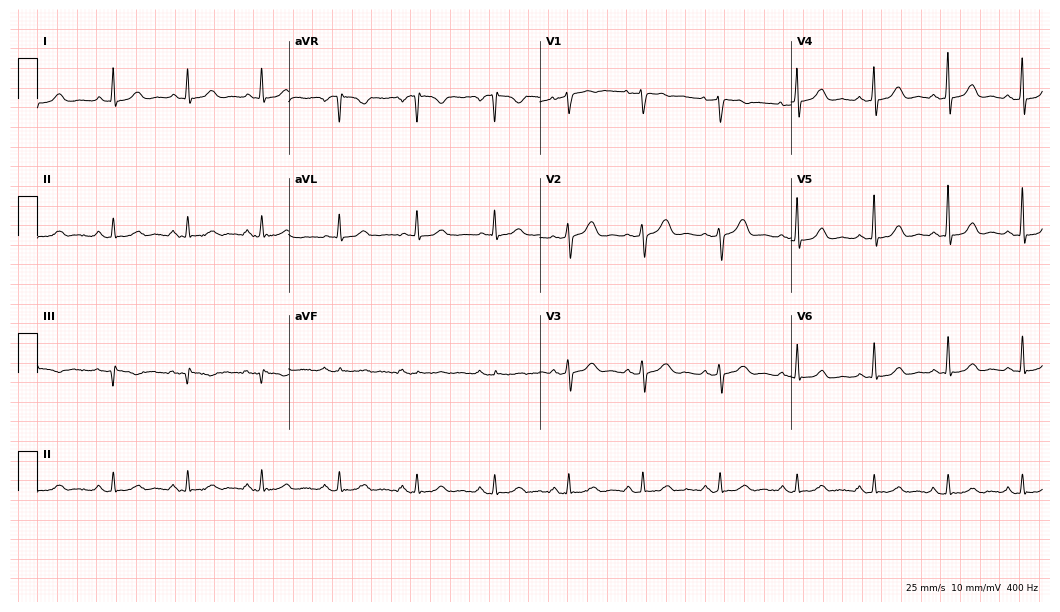
12-lead ECG from a 47-year-old female. Labelled as a normal ECG.